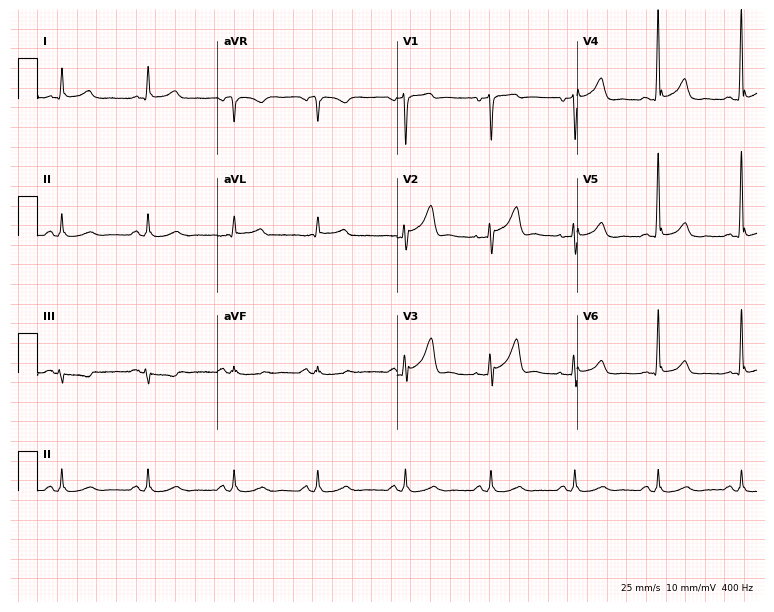
12-lead ECG from a man, 56 years old. Labelled as a normal ECG.